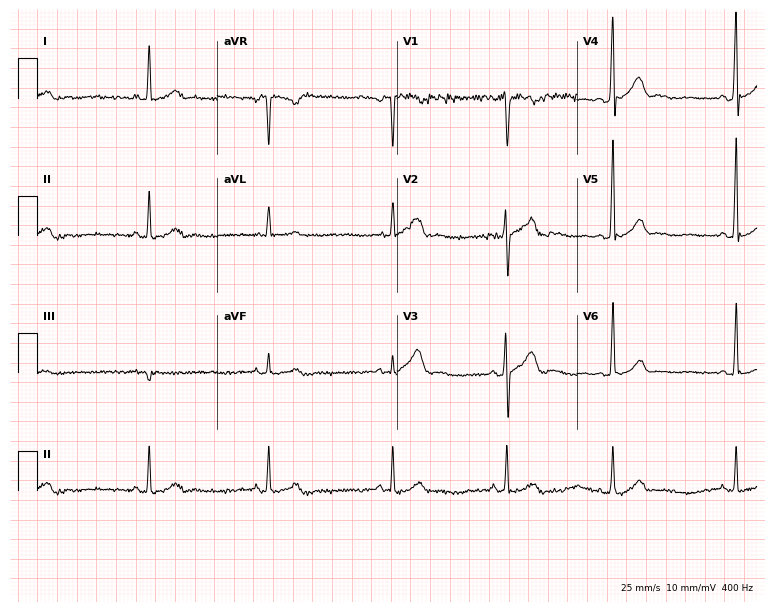
12-lead ECG from a 43-year-old male. Shows sinus bradycardia (a sinus rate of 50 beats per minute or less).